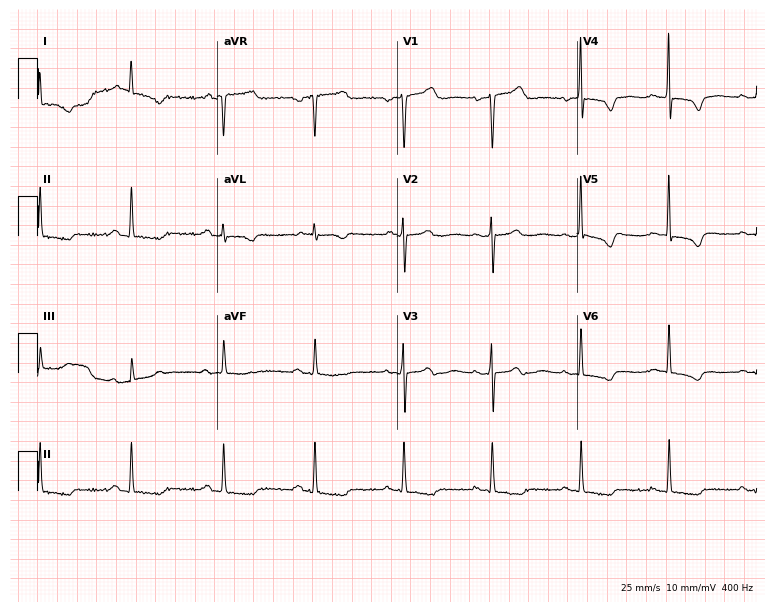
ECG — a woman, 80 years old. Screened for six findings — first-degree AV block, right bundle branch block (RBBB), left bundle branch block (LBBB), sinus bradycardia, atrial fibrillation (AF), sinus tachycardia — none is recorded.